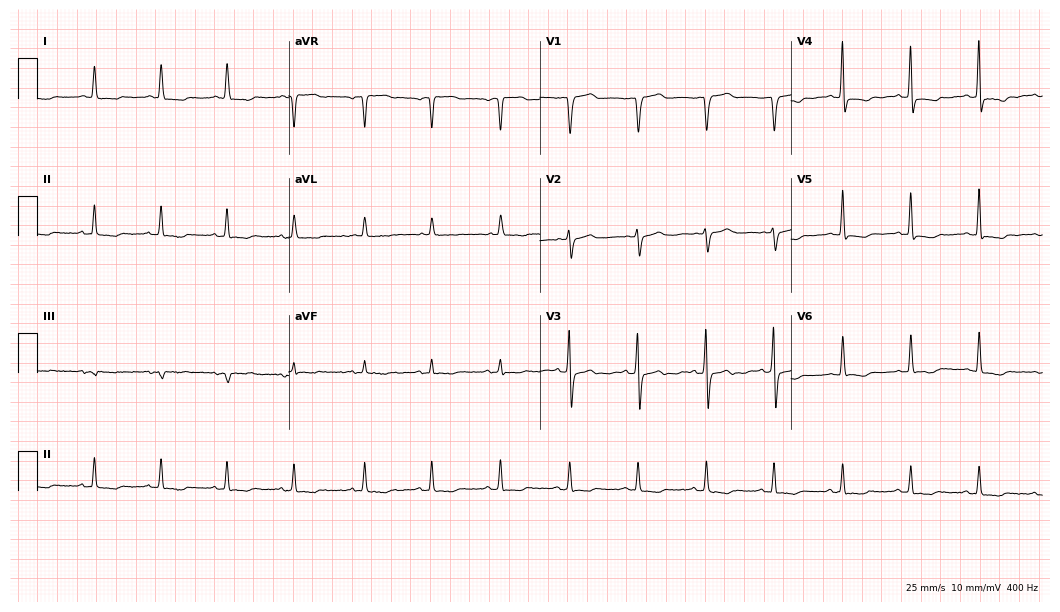
Standard 12-lead ECG recorded from a female patient, 84 years old. Read as a normal ECG.